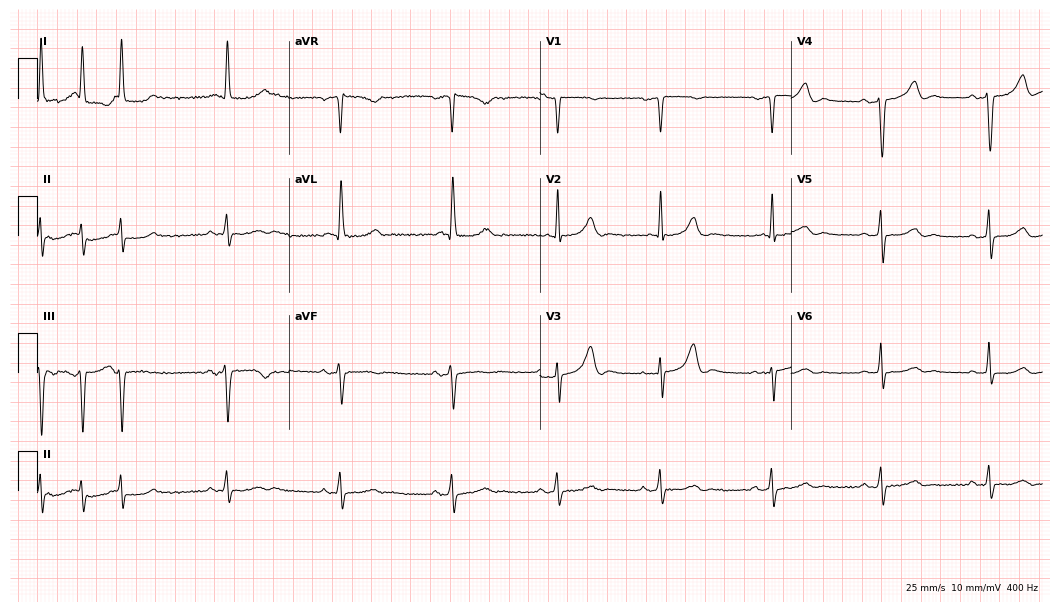
Standard 12-lead ECG recorded from a woman, 82 years old (10.2-second recording at 400 Hz). None of these six findings is recorded: first-degree AV block, right bundle branch block, left bundle branch block, sinus bradycardia, atrial fibrillation, sinus tachycardia. Findings outside these six are not listed.